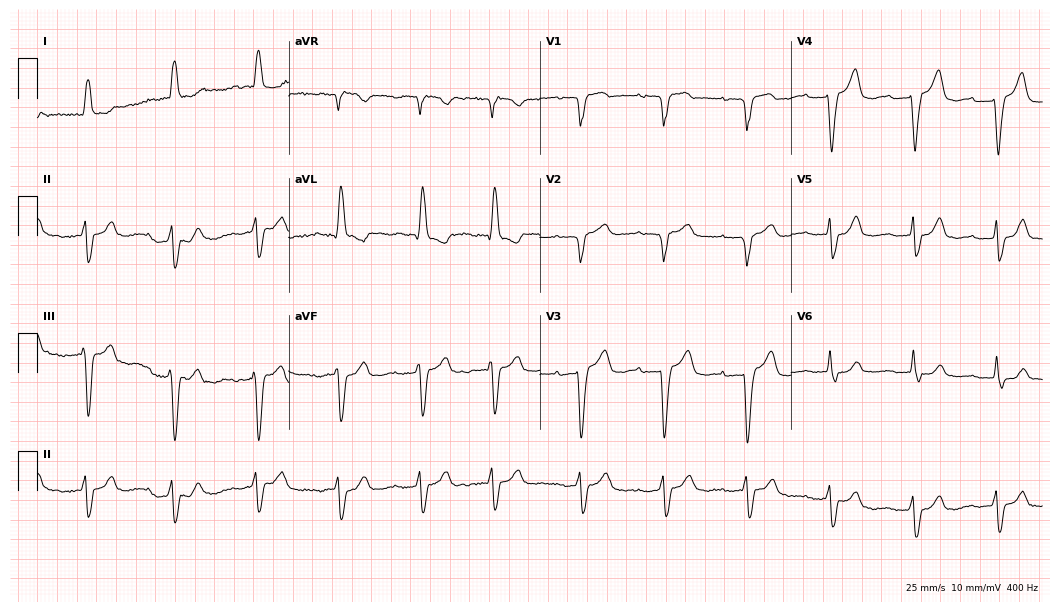
Electrocardiogram (10.2-second recording at 400 Hz), a woman, 78 years old. Interpretation includes first-degree AV block, left bundle branch block.